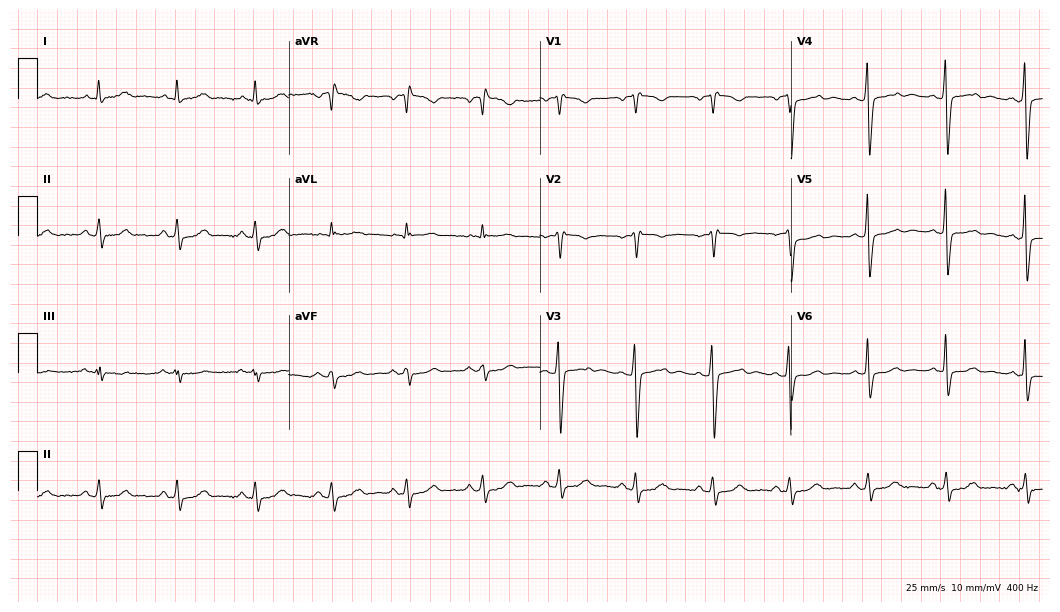
12-lead ECG from a 54-year-old male patient (10.2-second recording at 400 Hz). No first-degree AV block, right bundle branch block, left bundle branch block, sinus bradycardia, atrial fibrillation or sinus tachycardia recorded for this tracing. Only these six findings were labelled.